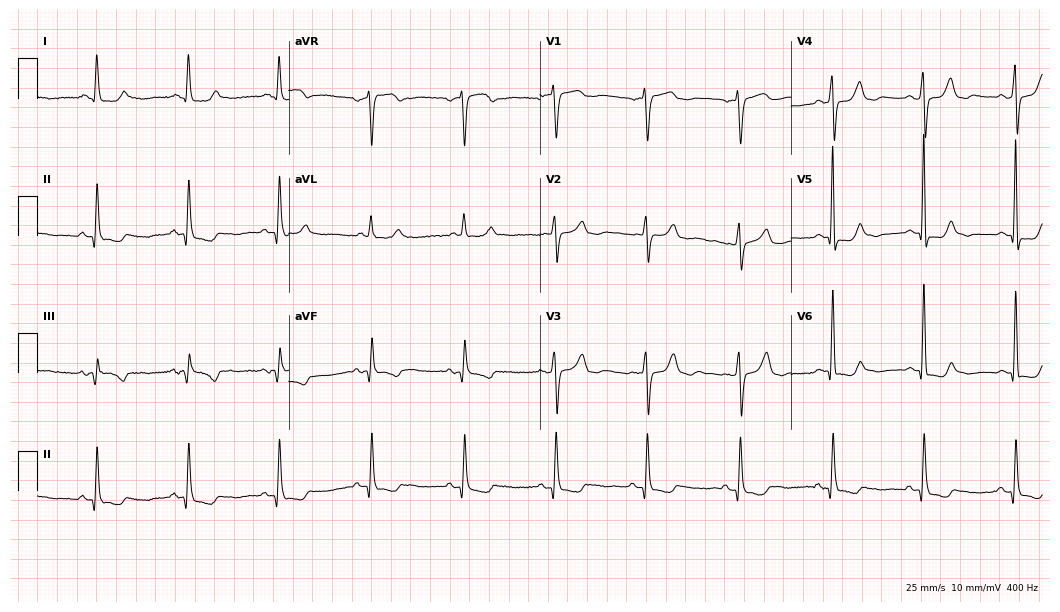
Electrocardiogram (10.2-second recording at 400 Hz), an 85-year-old female patient. Of the six screened findings (first-degree AV block, right bundle branch block, left bundle branch block, sinus bradycardia, atrial fibrillation, sinus tachycardia), none is recorded.